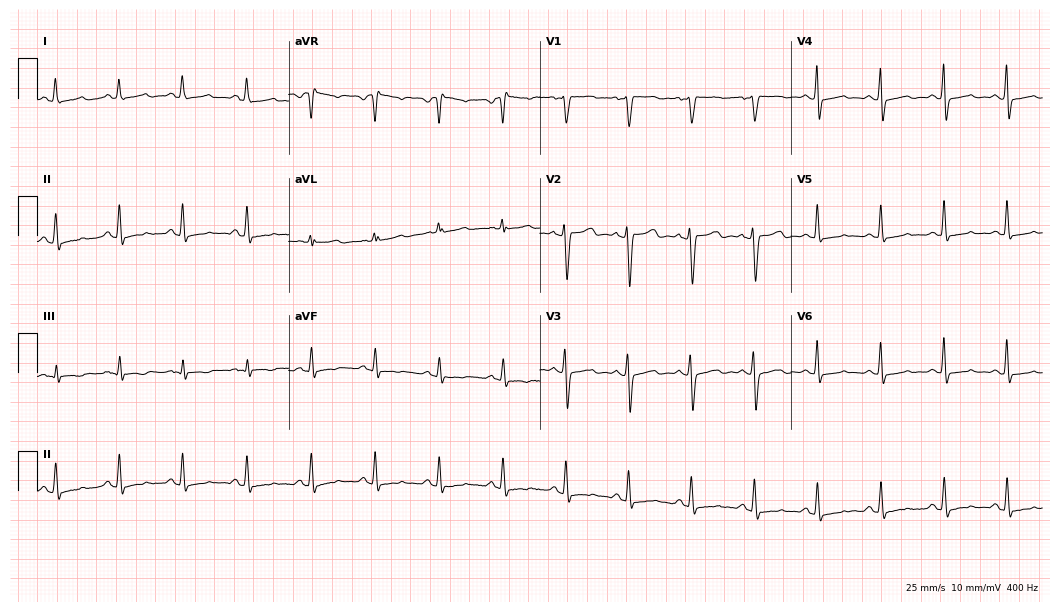
Standard 12-lead ECG recorded from a woman, 34 years old. None of these six findings is recorded: first-degree AV block, right bundle branch block (RBBB), left bundle branch block (LBBB), sinus bradycardia, atrial fibrillation (AF), sinus tachycardia.